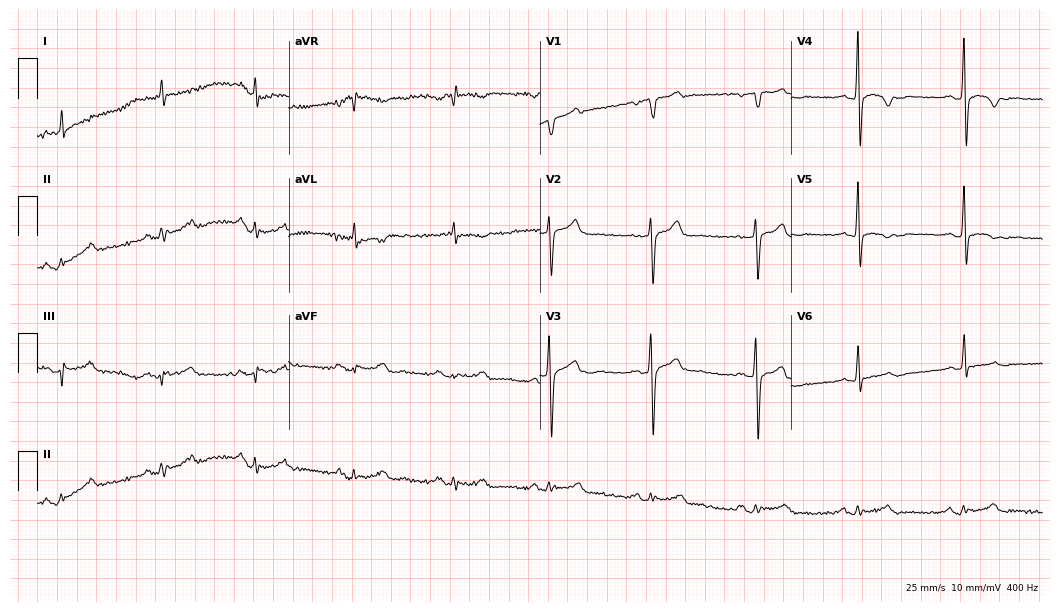
Resting 12-lead electrocardiogram (10.2-second recording at 400 Hz). Patient: a male, 48 years old. None of these six findings is recorded: first-degree AV block, right bundle branch block (RBBB), left bundle branch block (LBBB), sinus bradycardia, atrial fibrillation (AF), sinus tachycardia. Only these six findings were labelled.